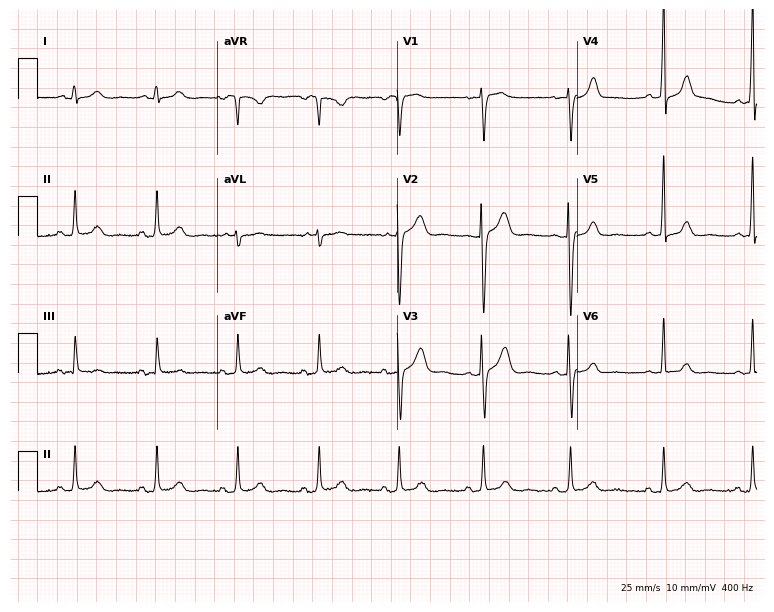
12-lead ECG from a female patient, 52 years old. Screened for six findings — first-degree AV block, right bundle branch block, left bundle branch block, sinus bradycardia, atrial fibrillation, sinus tachycardia — none is recorded.